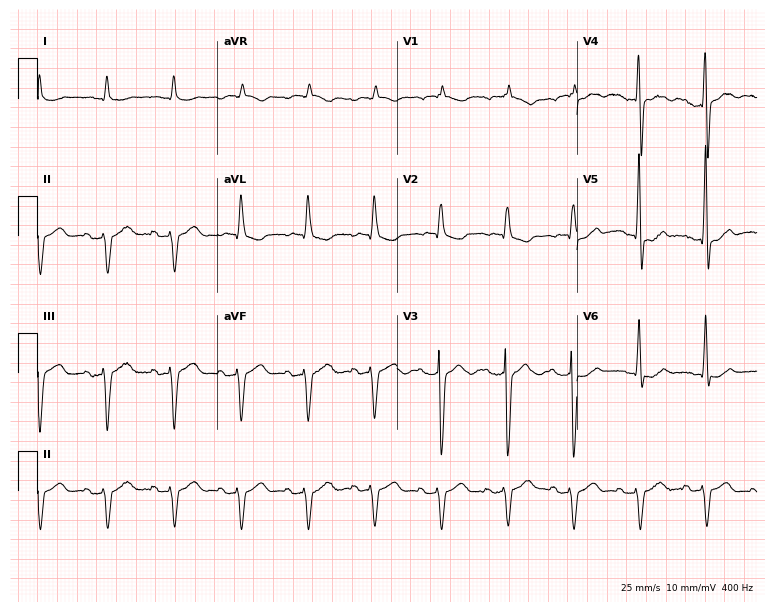
ECG — a male patient, 77 years old. Labelled as a normal ECG.